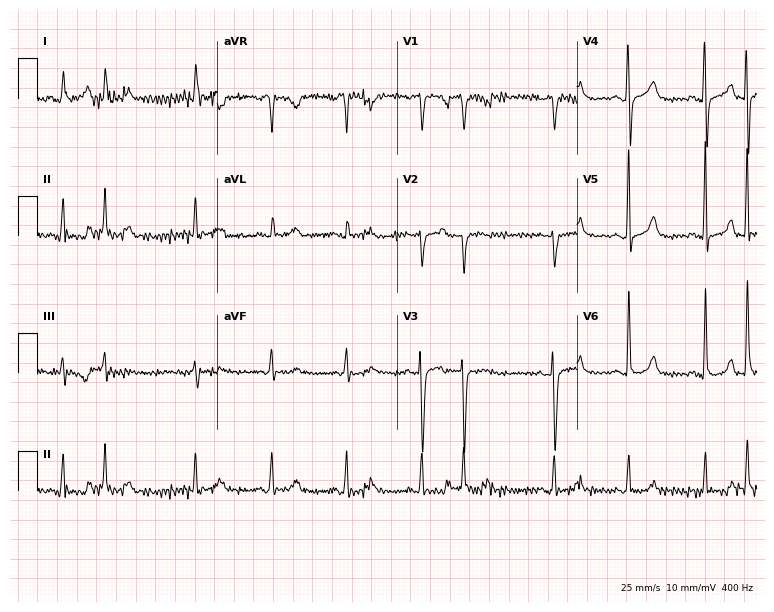
12-lead ECG from a female, 51 years old. No first-degree AV block, right bundle branch block (RBBB), left bundle branch block (LBBB), sinus bradycardia, atrial fibrillation (AF) or sinus tachycardia recorded for this tracing.